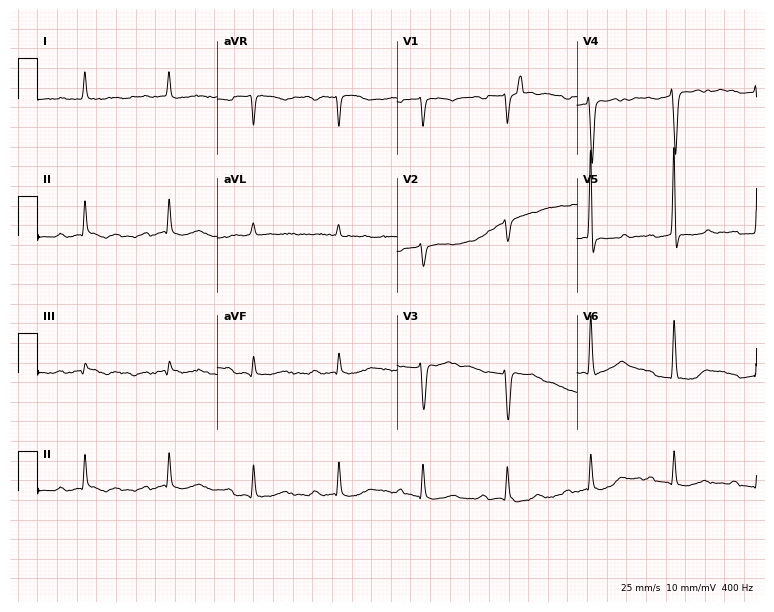
ECG (7.3-second recording at 400 Hz) — a female, 32 years old. Findings include first-degree AV block.